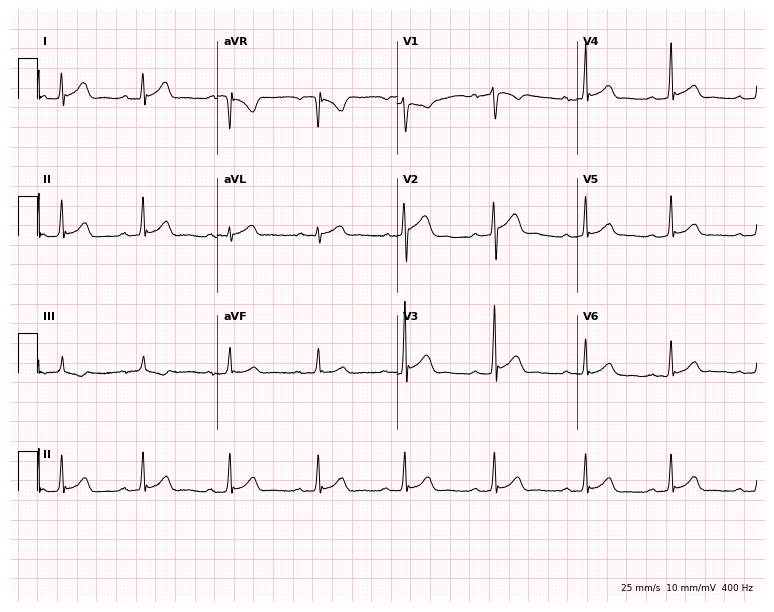
12-lead ECG from a man, 27 years old. Screened for six findings — first-degree AV block, right bundle branch block (RBBB), left bundle branch block (LBBB), sinus bradycardia, atrial fibrillation (AF), sinus tachycardia — none is recorded.